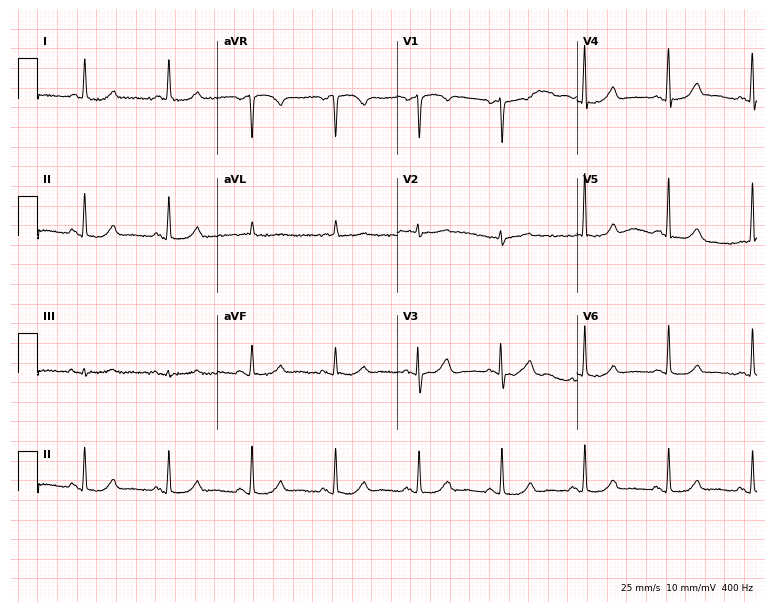
12-lead ECG from a female, 73 years old. Labelled as a normal ECG.